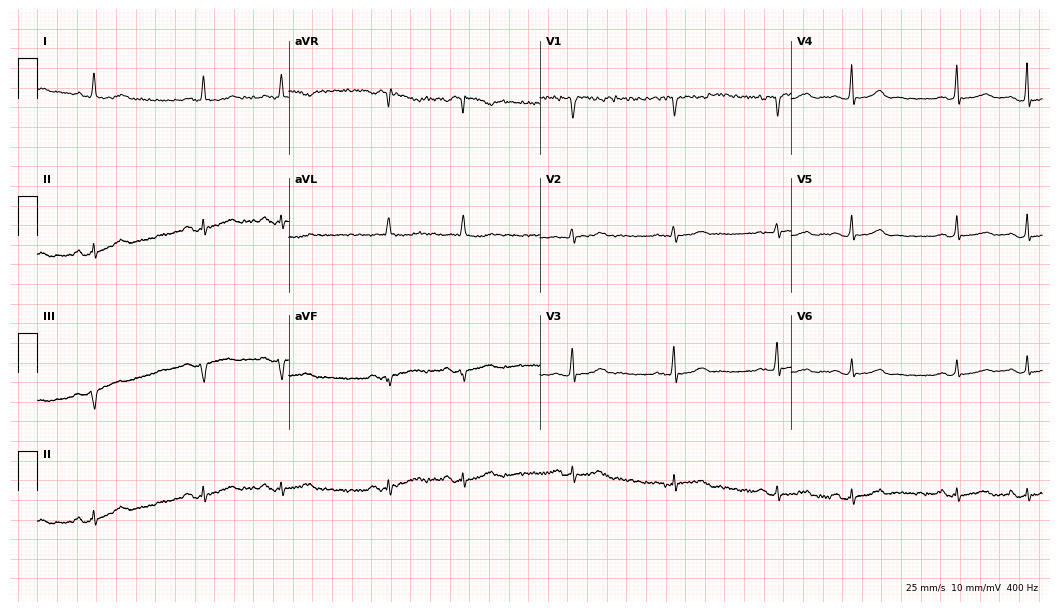
12-lead ECG (10.2-second recording at 400 Hz) from a female patient, 68 years old. Screened for six findings — first-degree AV block, right bundle branch block (RBBB), left bundle branch block (LBBB), sinus bradycardia, atrial fibrillation (AF), sinus tachycardia — none is recorded. Other findings, if any, are not listed.